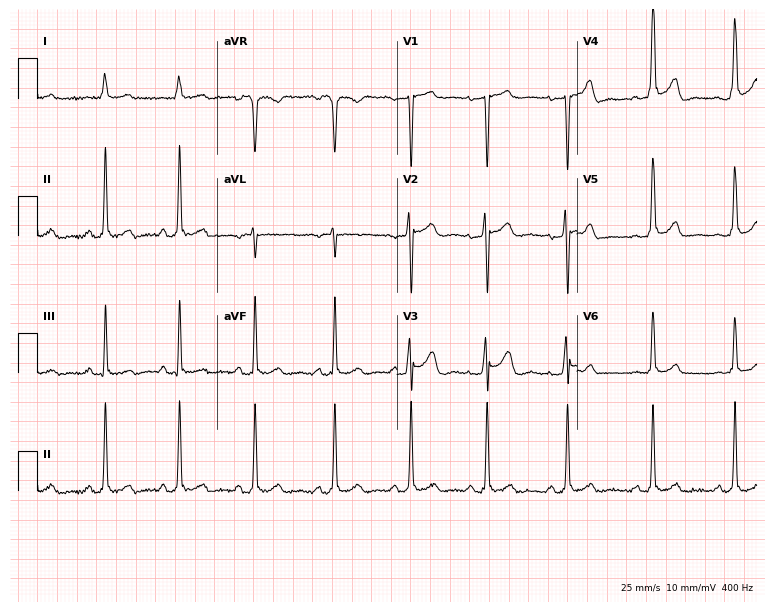
Resting 12-lead electrocardiogram. Patient: a 23-year-old male. None of these six findings is recorded: first-degree AV block, right bundle branch block, left bundle branch block, sinus bradycardia, atrial fibrillation, sinus tachycardia.